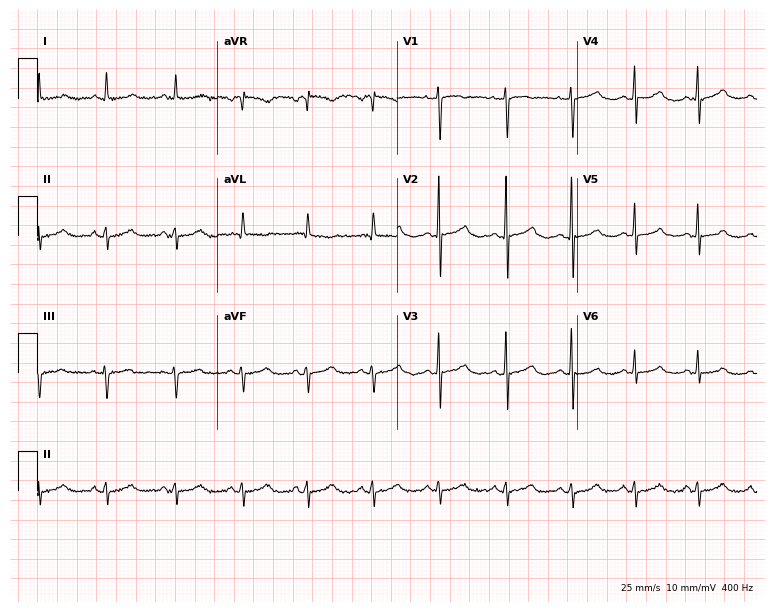
12-lead ECG from a female patient, 55 years old (7.3-second recording at 400 Hz). Recorded interpretation: within normal limits.